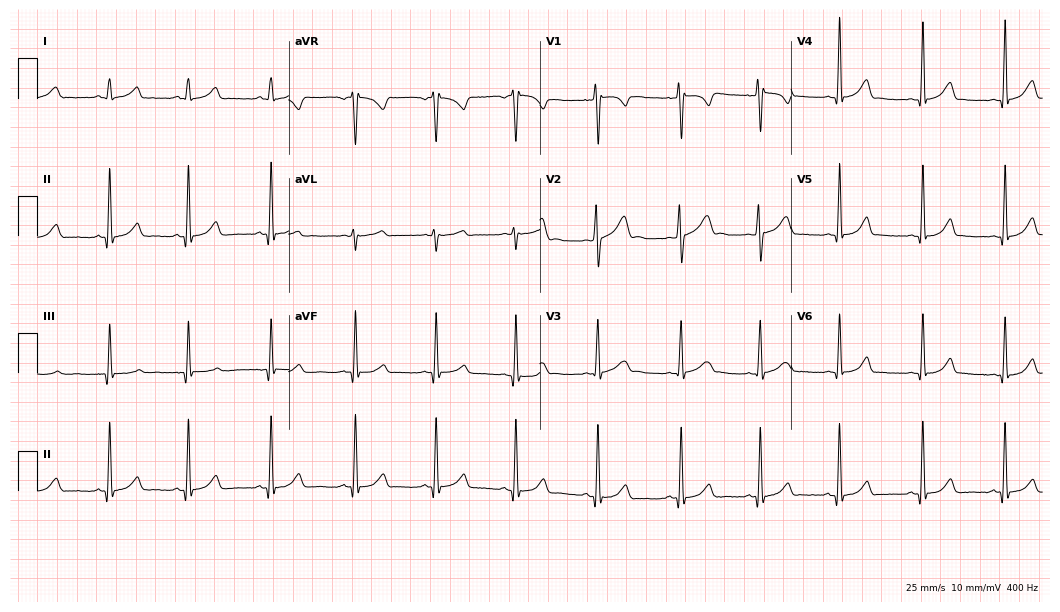
Resting 12-lead electrocardiogram (10.2-second recording at 400 Hz). Patient: a woman, 23 years old. Read as a normal ECG.